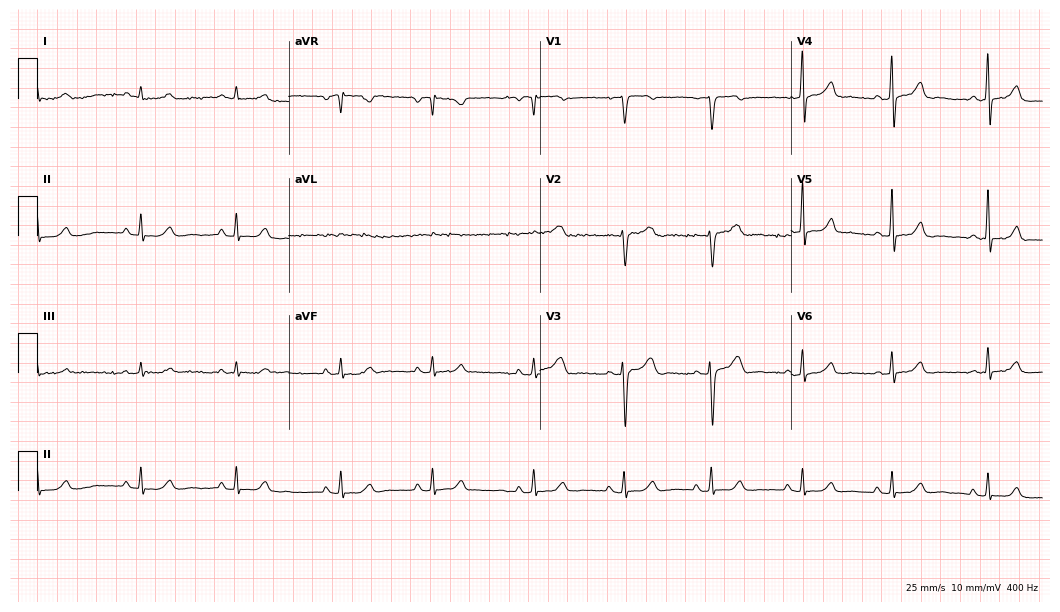
12-lead ECG from a 50-year-old woman. Recorded interpretation: within normal limits.